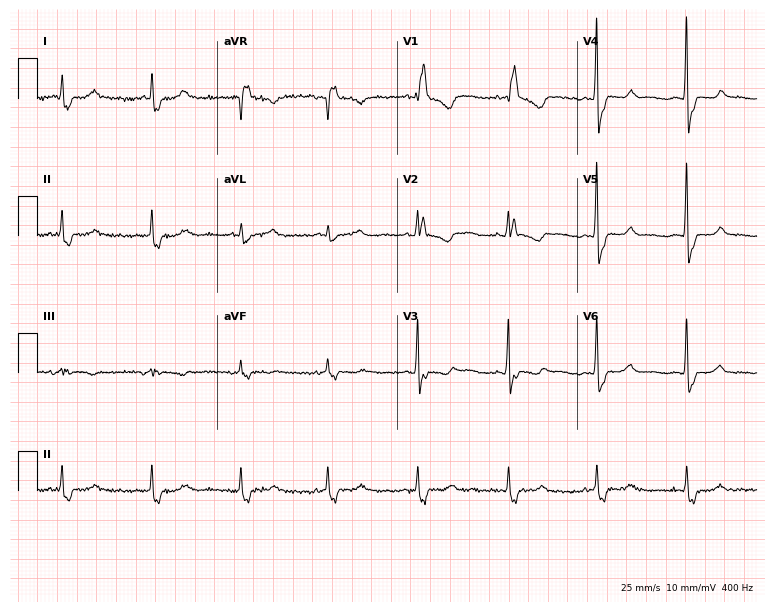
Standard 12-lead ECG recorded from a woman, 58 years old (7.3-second recording at 400 Hz). The tracing shows right bundle branch block.